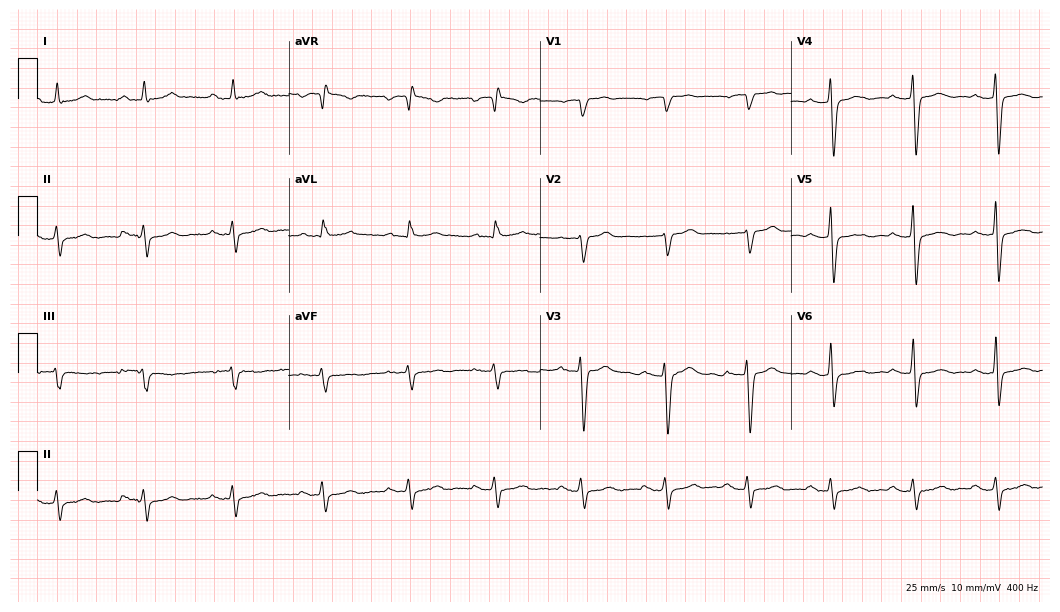
12-lead ECG from a 60-year-old male (10.2-second recording at 400 Hz). Shows first-degree AV block, left bundle branch block.